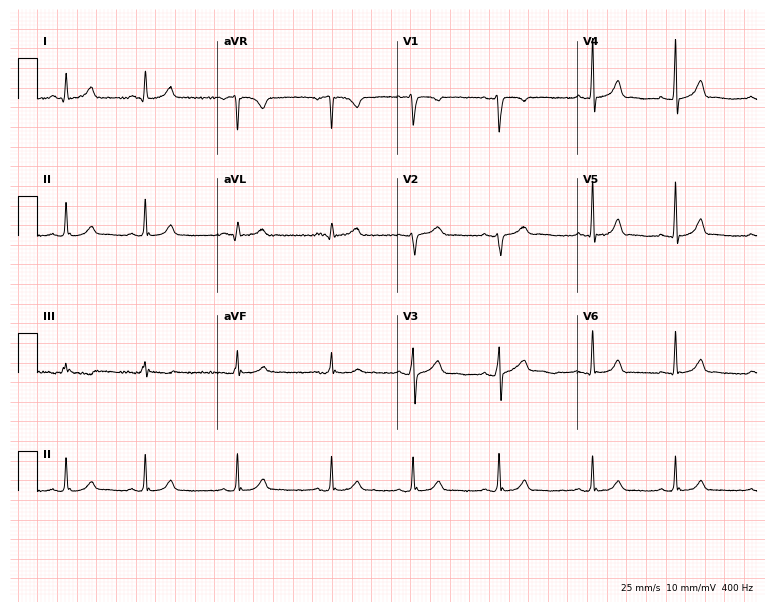
Standard 12-lead ECG recorded from a woman, 25 years old. Read as a normal ECG.